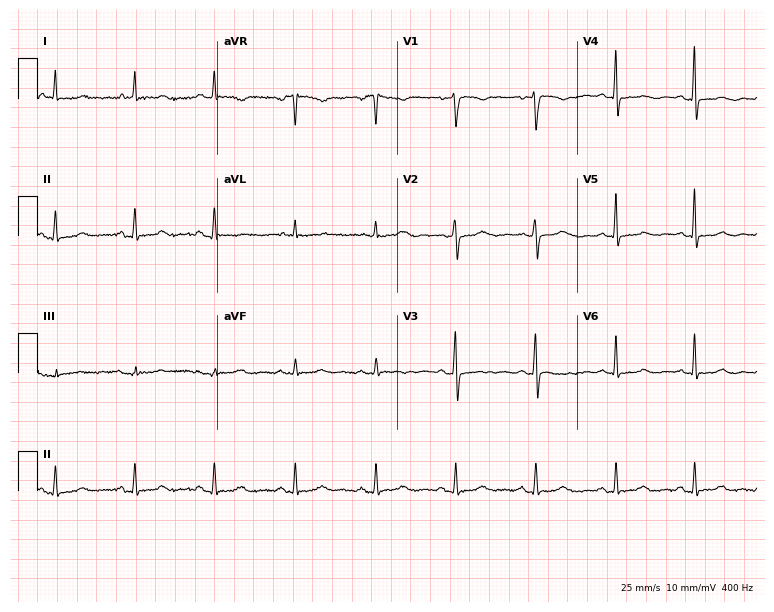
Resting 12-lead electrocardiogram. Patient: a 48-year-old female. None of these six findings is recorded: first-degree AV block, right bundle branch block, left bundle branch block, sinus bradycardia, atrial fibrillation, sinus tachycardia. Findings outside these six are not listed.